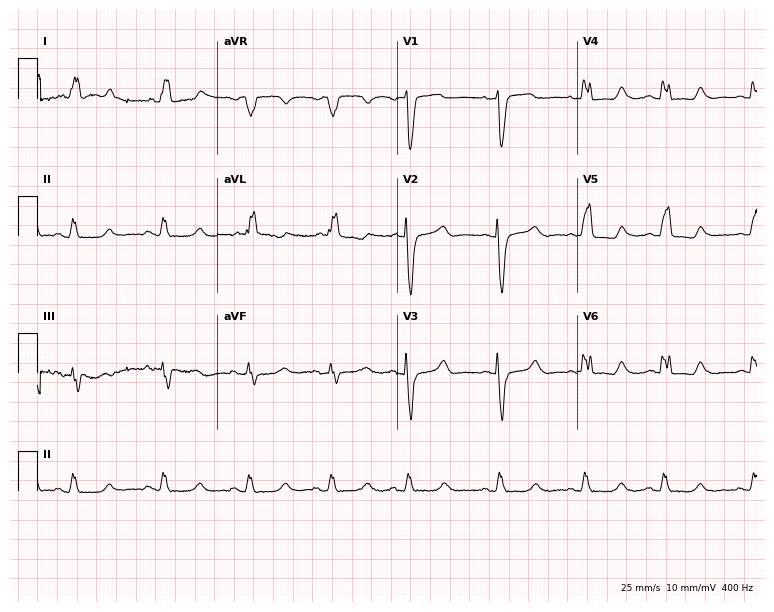
Resting 12-lead electrocardiogram. Patient: a female, 76 years old. The tracing shows left bundle branch block.